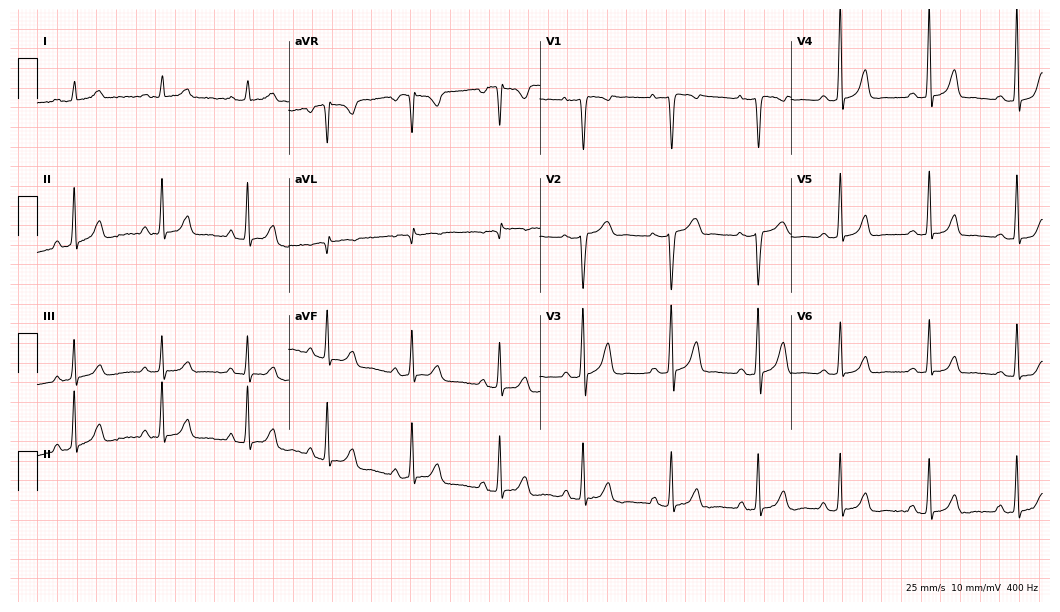
Resting 12-lead electrocardiogram. Patient: a female, 29 years old. None of these six findings is recorded: first-degree AV block, right bundle branch block, left bundle branch block, sinus bradycardia, atrial fibrillation, sinus tachycardia. Only these six findings were labelled.